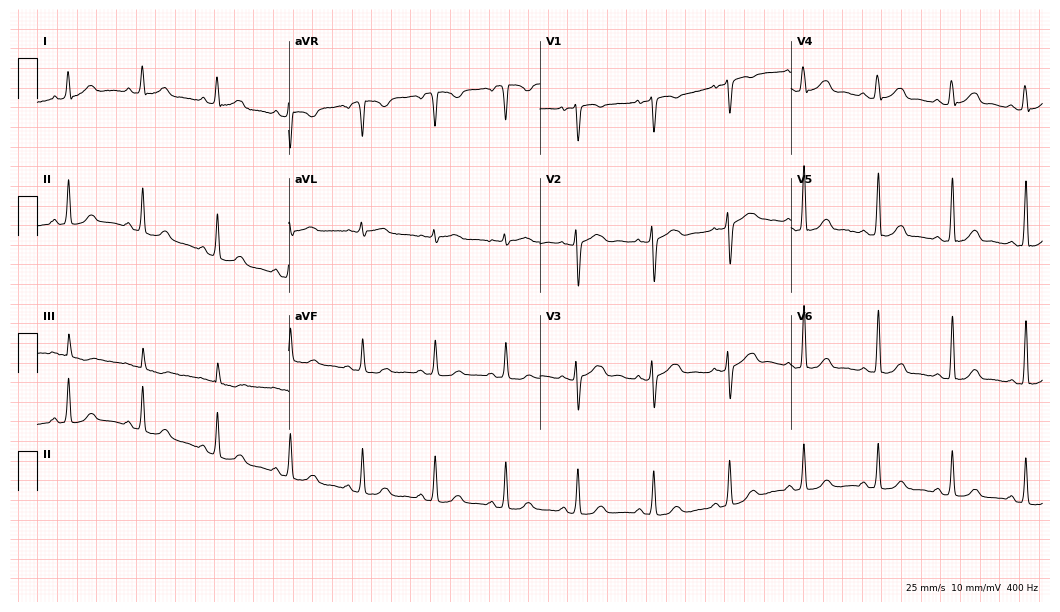
12-lead ECG (10.2-second recording at 400 Hz) from a 28-year-old female. Labelled as a normal ECG.